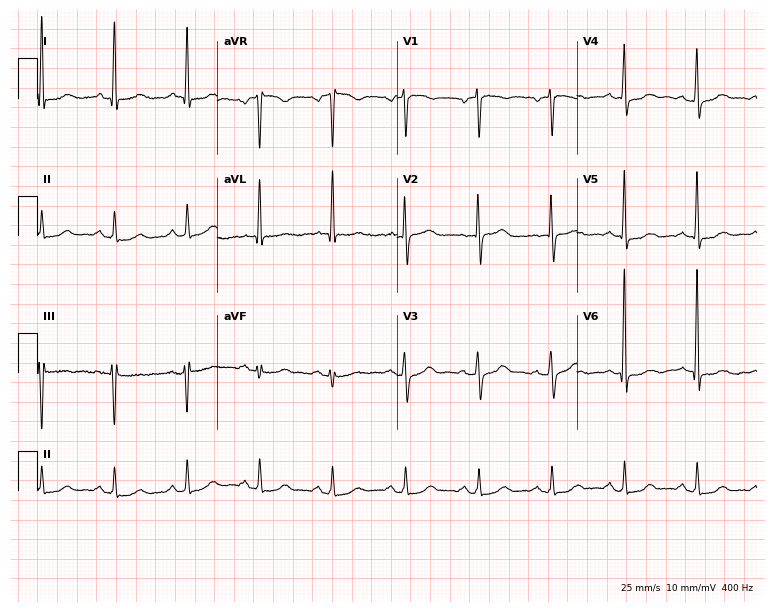
Resting 12-lead electrocardiogram. Patient: a 66-year-old man. Read as a normal ECG.